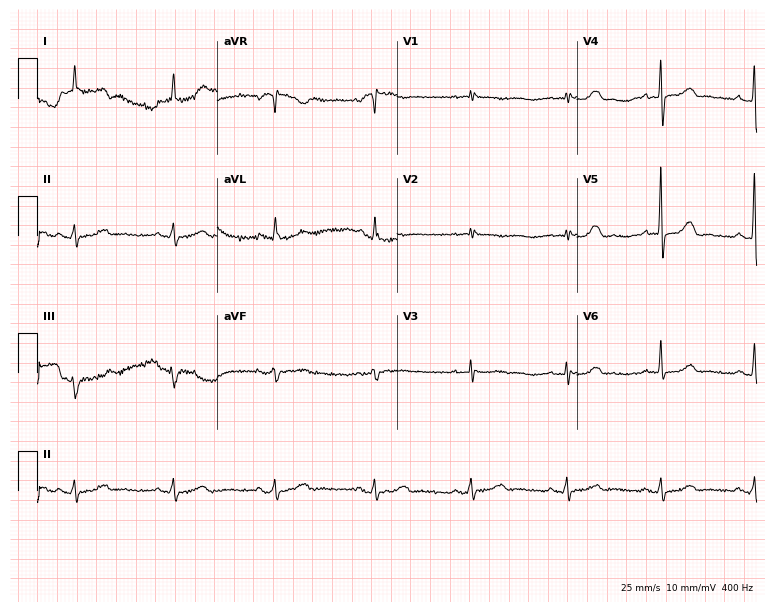
Standard 12-lead ECG recorded from a female patient, 61 years old (7.3-second recording at 400 Hz). Read as a normal ECG.